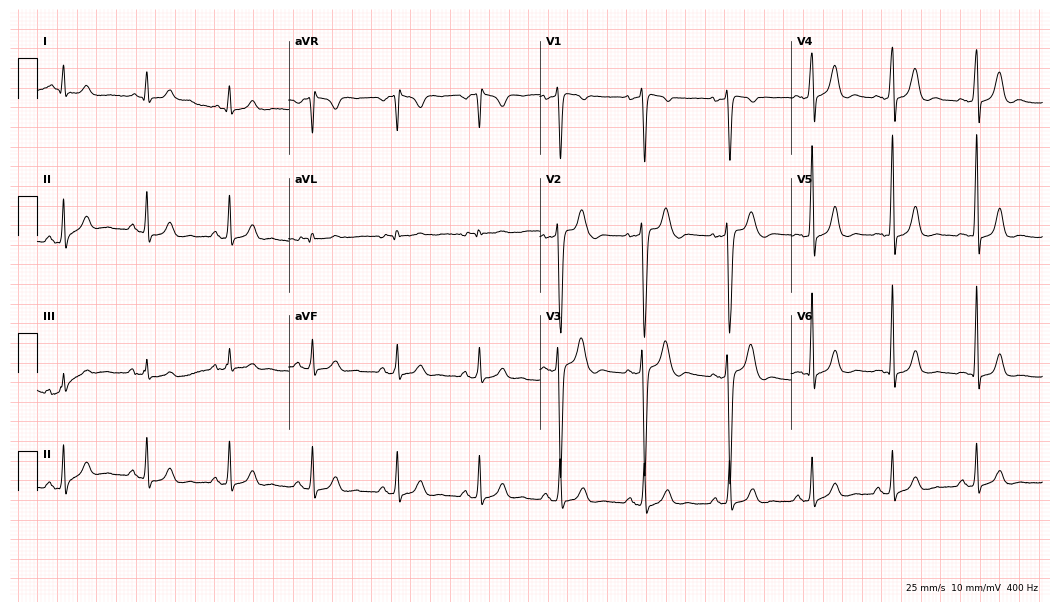
12-lead ECG from a man, 29 years old (10.2-second recording at 400 Hz). No first-degree AV block, right bundle branch block, left bundle branch block, sinus bradycardia, atrial fibrillation or sinus tachycardia recorded for this tracing. Other findings, if any, are not listed.